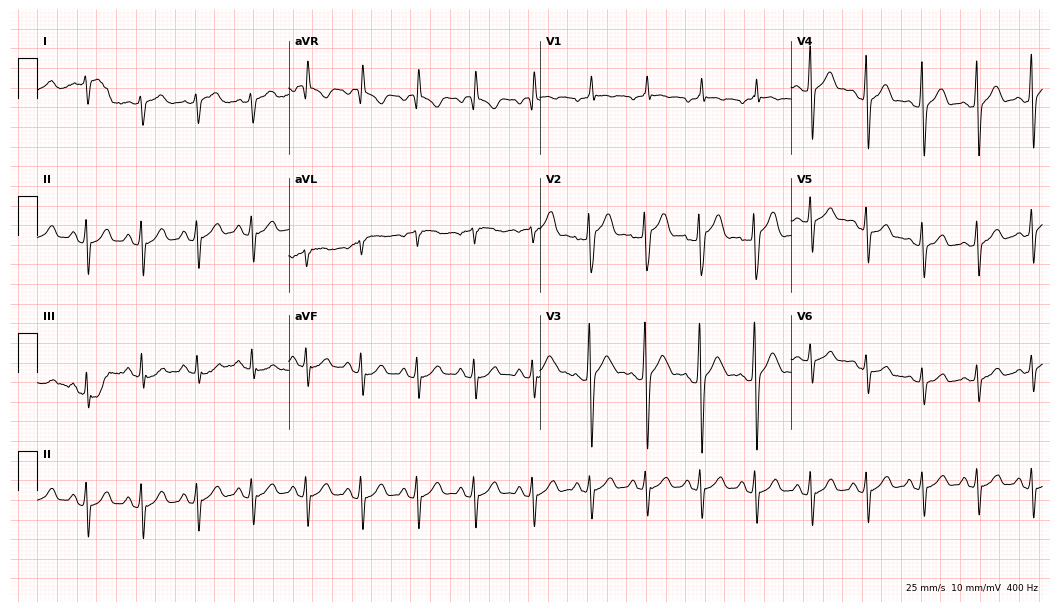
Standard 12-lead ECG recorded from a 19-year-old male patient (10.2-second recording at 400 Hz). The tracing shows sinus tachycardia (a sinus rate of 100 beats per minute or more).